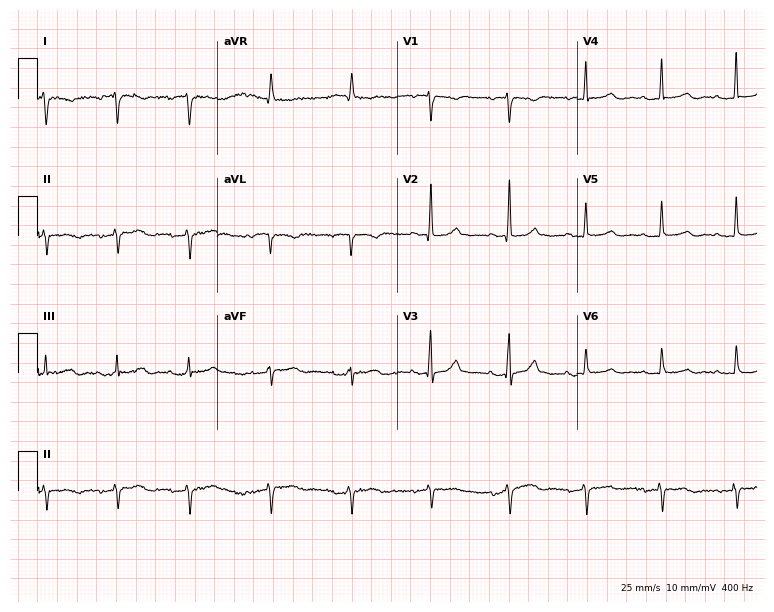
Standard 12-lead ECG recorded from a woman aged 90 or older. Read as a normal ECG.